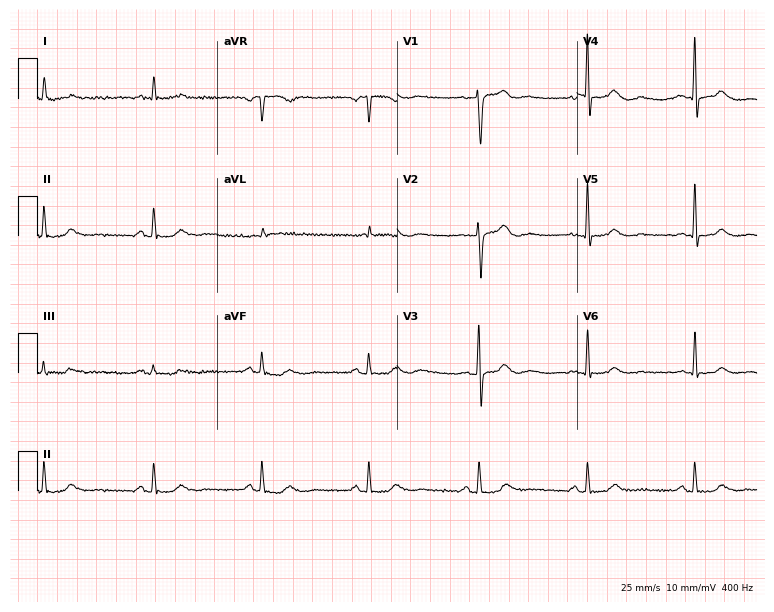
Resting 12-lead electrocardiogram. Patient: an 80-year-old man. None of these six findings is recorded: first-degree AV block, right bundle branch block (RBBB), left bundle branch block (LBBB), sinus bradycardia, atrial fibrillation (AF), sinus tachycardia. Only these six findings were labelled.